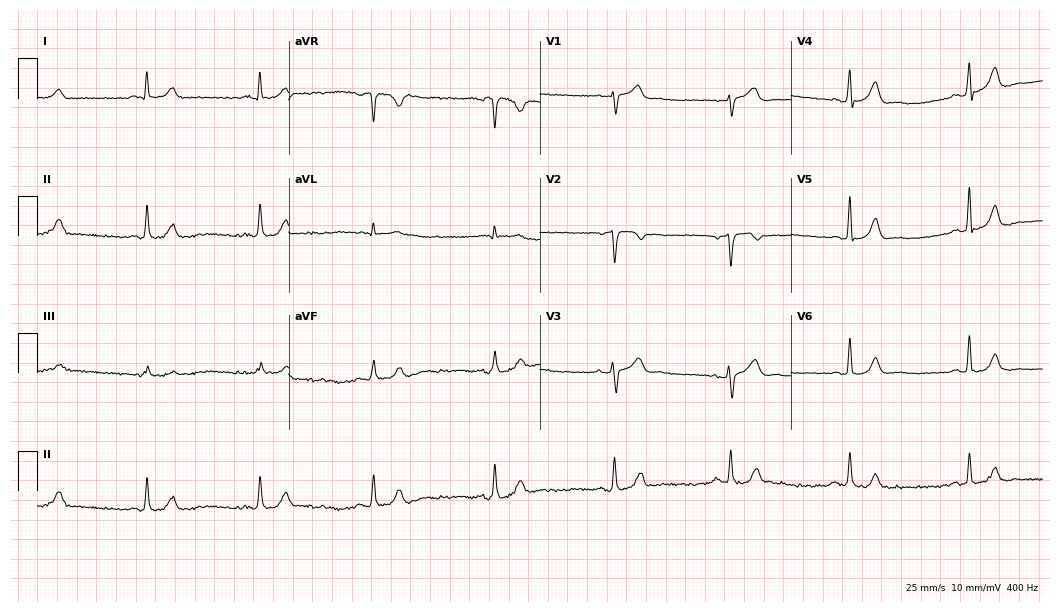
12-lead ECG from a male, 55 years old (10.2-second recording at 400 Hz). Recorded interpretation: within normal limits.